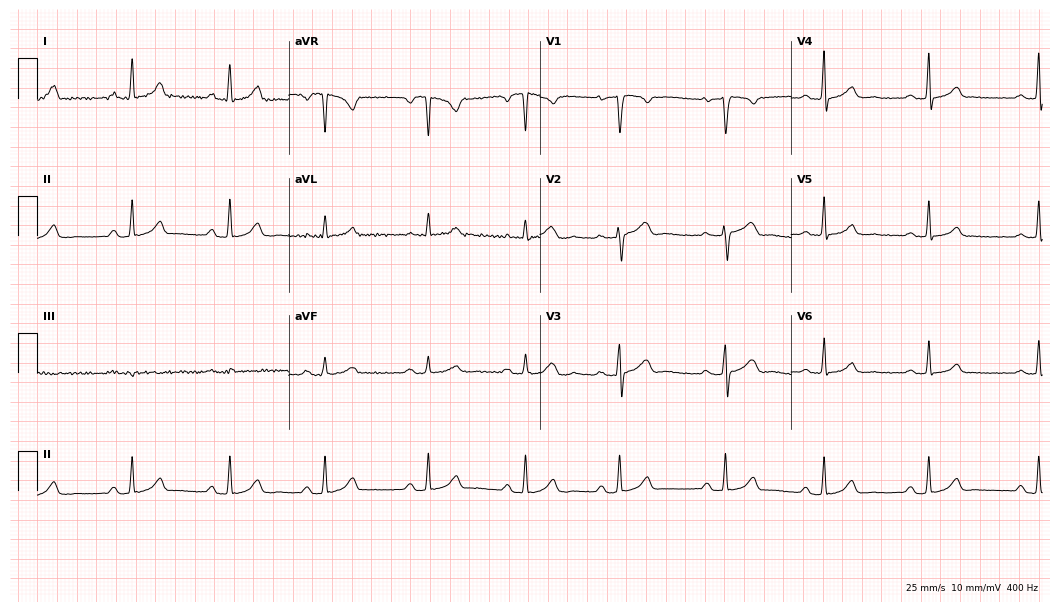
ECG (10.2-second recording at 400 Hz) — a 39-year-old female patient. Findings include first-degree AV block.